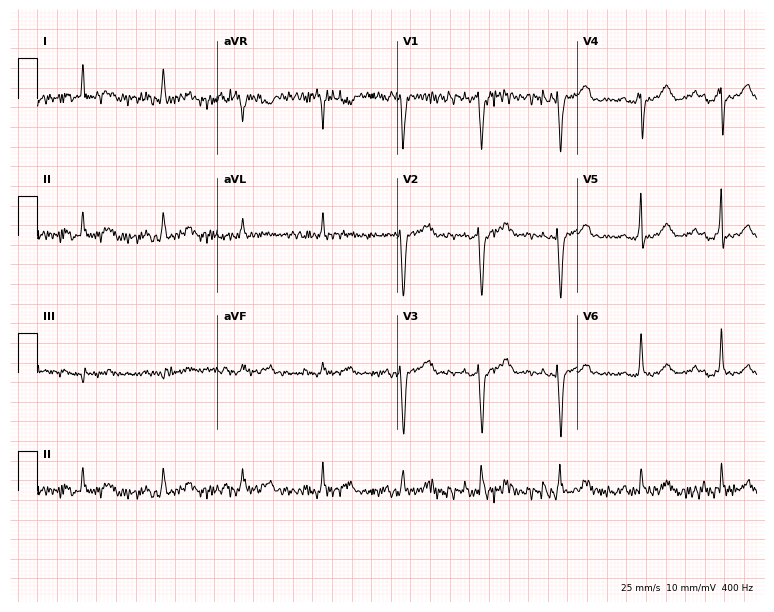
Resting 12-lead electrocardiogram. Patient: a woman, 59 years old. Read as a normal ECG.